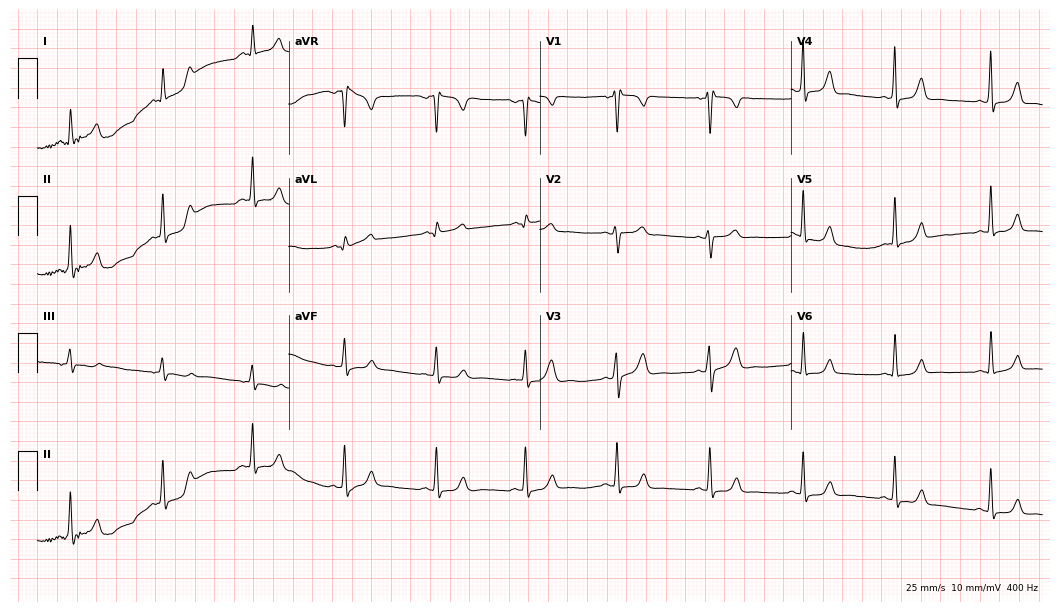
12-lead ECG from a 30-year-old woman. Labelled as a normal ECG.